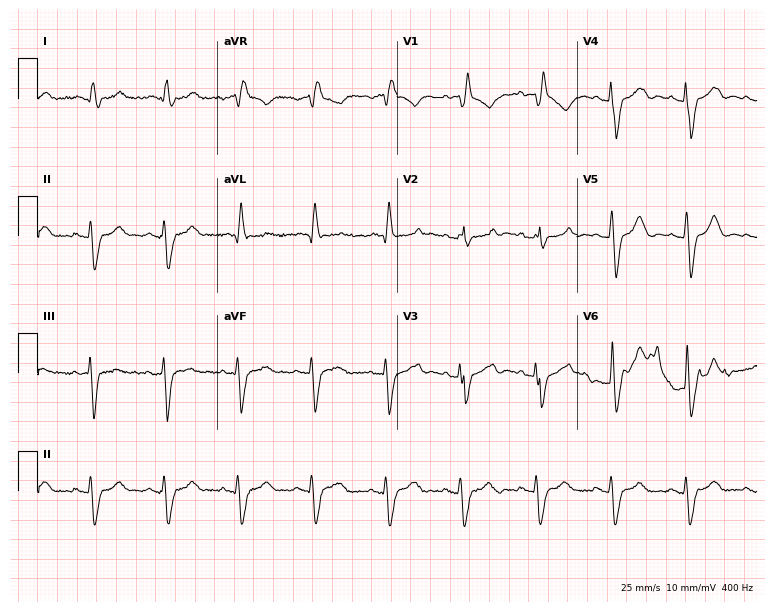
12-lead ECG from an 83-year-old male. Shows right bundle branch block.